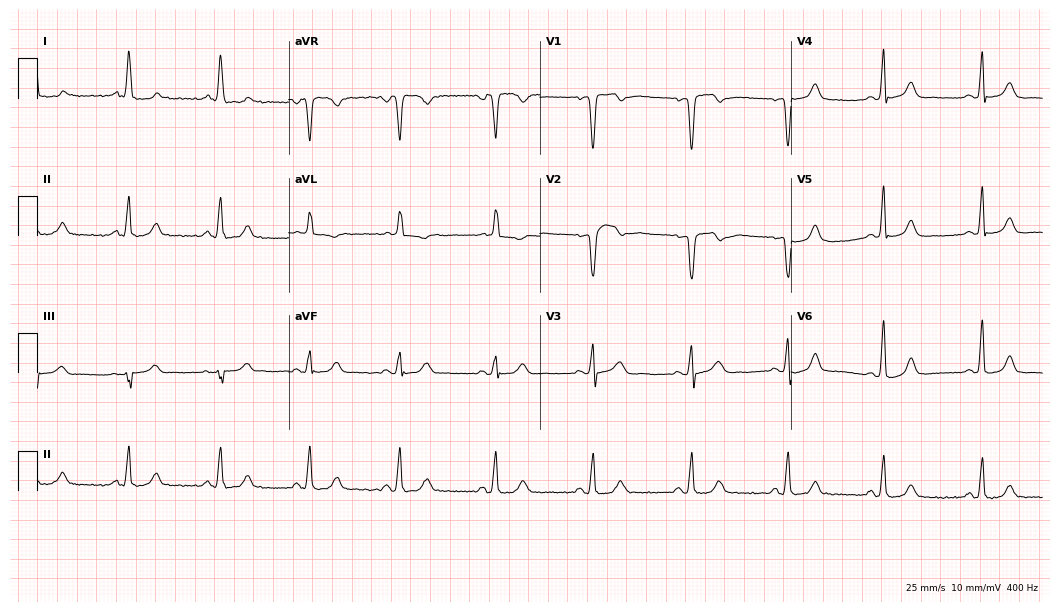
ECG — a 63-year-old female patient. Labelled as a normal ECG.